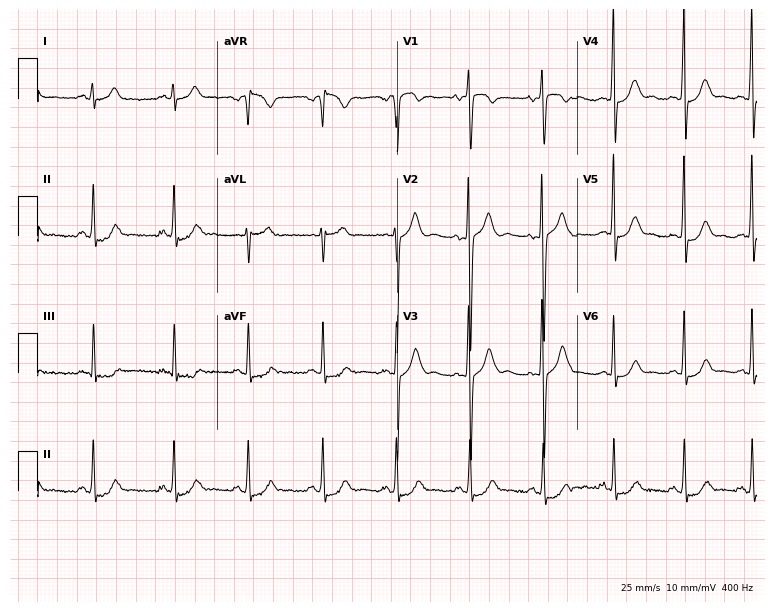
12-lead ECG from a male, 23 years old (7.3-second recording at 400 Hz). Recorded interpretation: within normal limits.